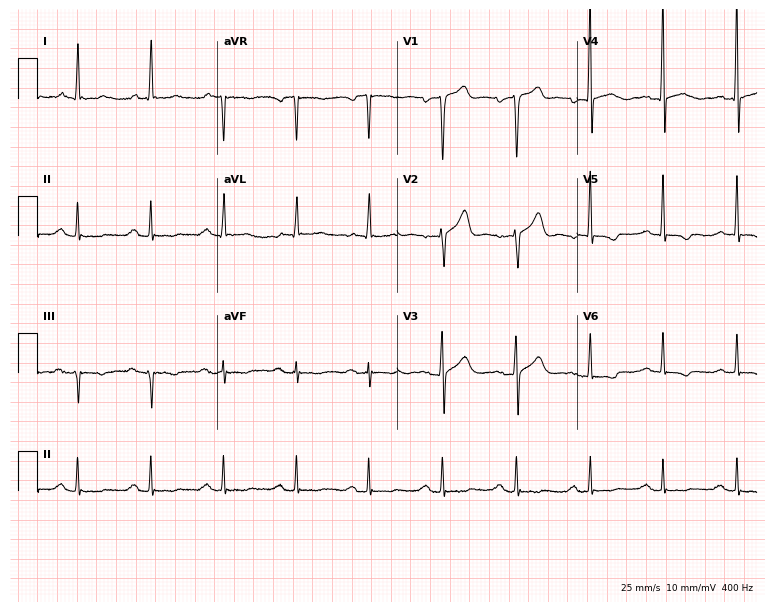
ECG — a male patient, 77 years old. Findings include first-degree AV block.